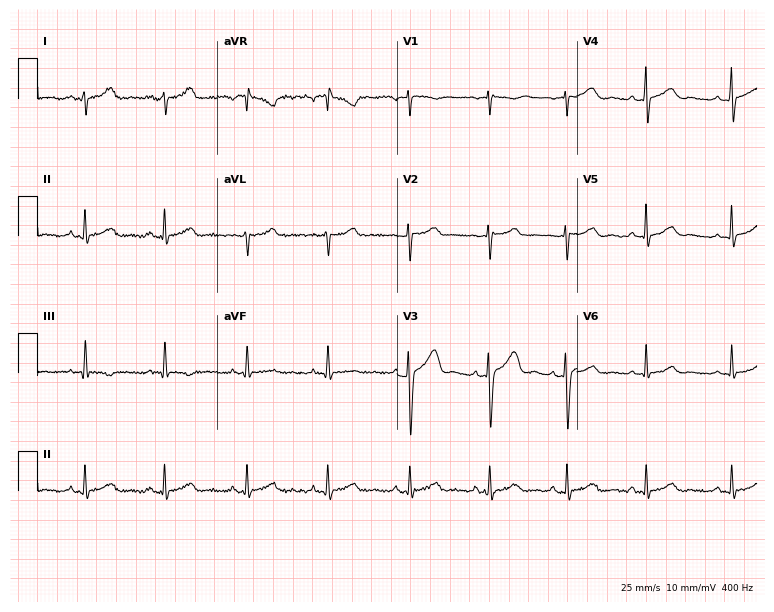
Resting 12-lead electrocardiogram (7.3-second recording at 400 Hz). Patient: a woman, 29 years old. None of these six findings is recorded: first-degree AV block, right bundle branch block (RBBB), left bundle branch block (LBBB), sinus bradycardia, atrial fibrillation (AF), sinus tachycardia.